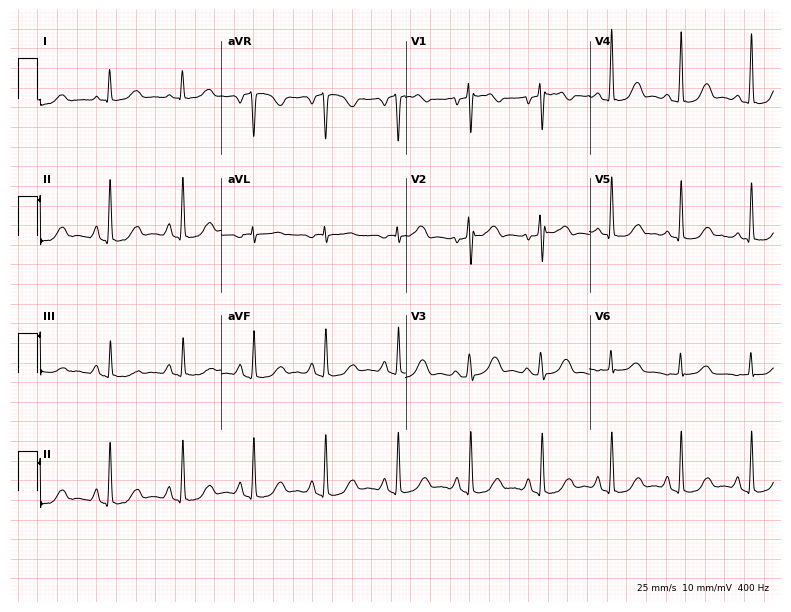
12-lead ECG from a 54-year-old female (7.5-second recording at 400 Hz). Recorded interpretation: within normal limits.